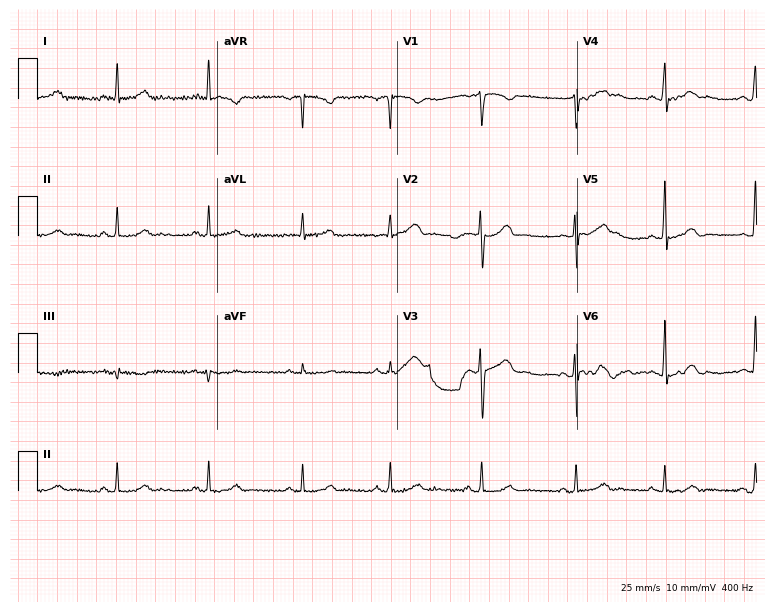
Standard 12-lead ECG recorded from a woman, 38 years old. Read as a normal ECG.